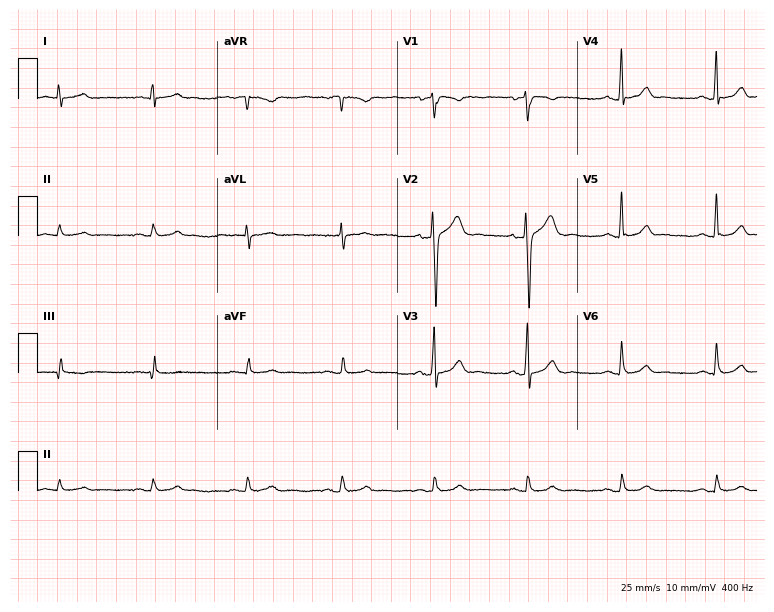
12-lead ECG (7.3-second recording at 400 Hz) from a 42-year-old man. Labelled as a normal ECG.